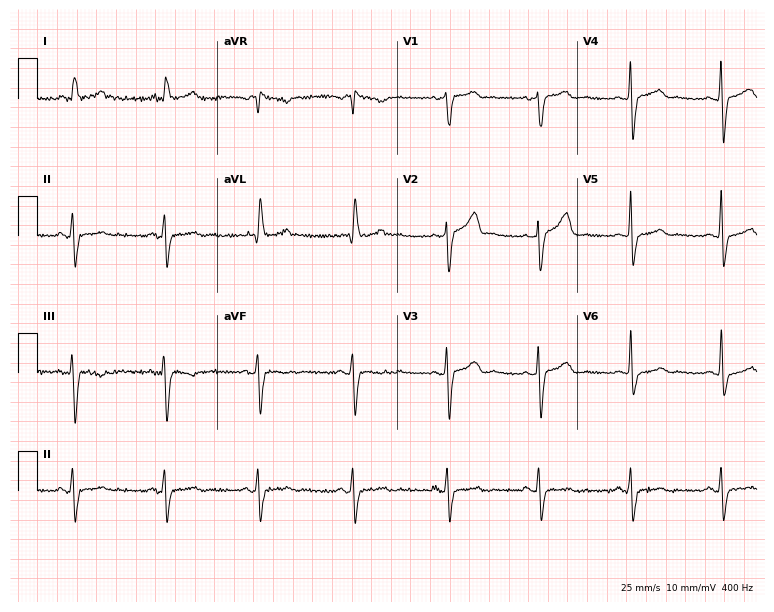
12-lead ECG from a man, 73 years old. No first-degree AV block, right bundle branch block, left bundle branch block, sinus bradycardia, atrial fibrillation or sinus tachycardia recorded for this tracing. Other findings, if any, are not listed.